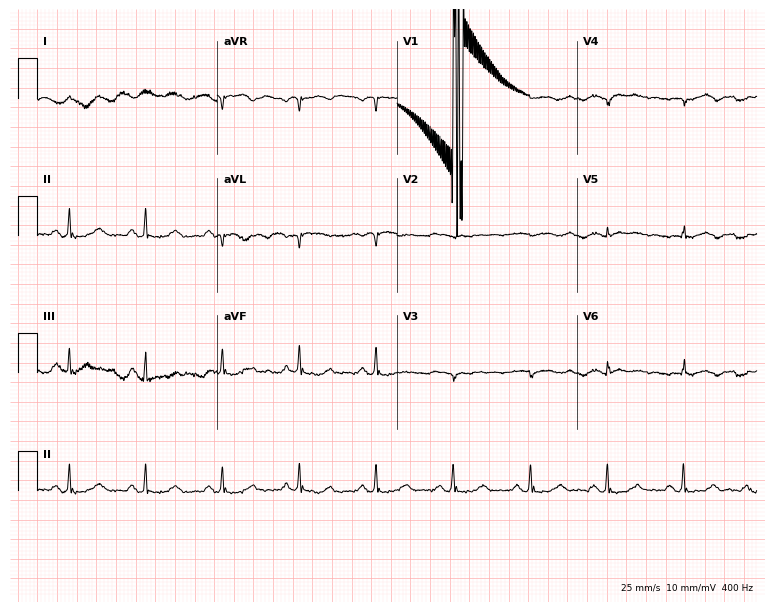
12-lead ECG from a male, 80 years old. No first-degree AV block, right bundle branch block, left bundle branch block, sinus bradycardia, atrial fibrillation or sinus tachycardia recorded for this tracing.